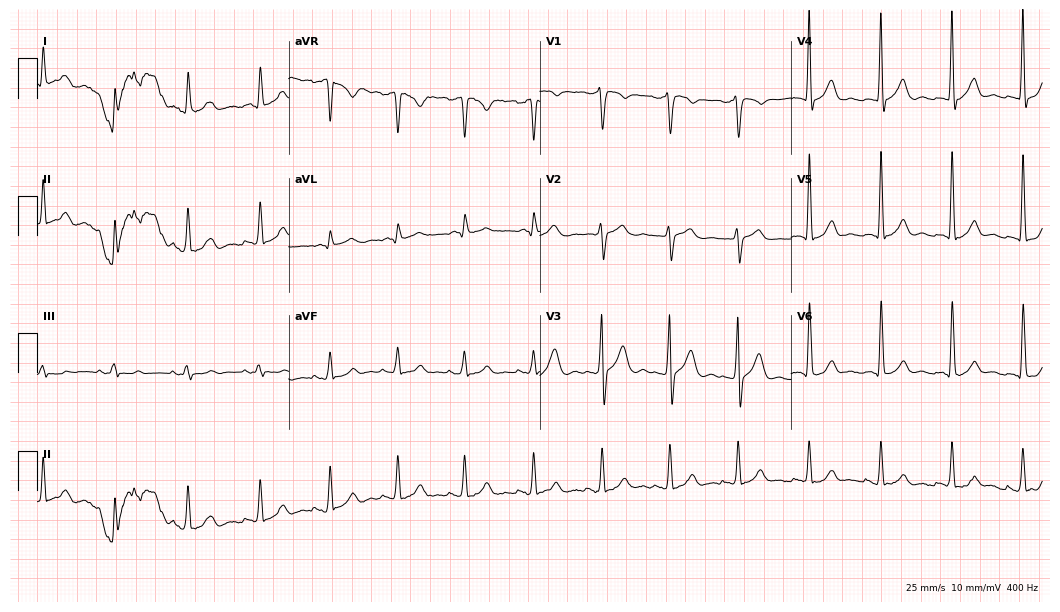
Standard 12-lead ECG recorded from a 34-year-old male patient (10.2-second recording at 400 Hz). Read as a normal ECG.